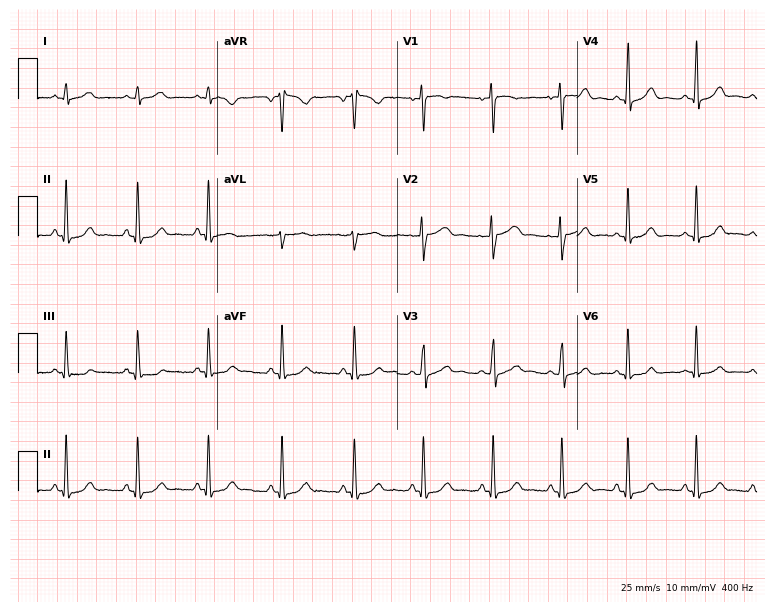
Electrocardiogram, a female patient, 33 years old. Overall reading on record: normal ECG.